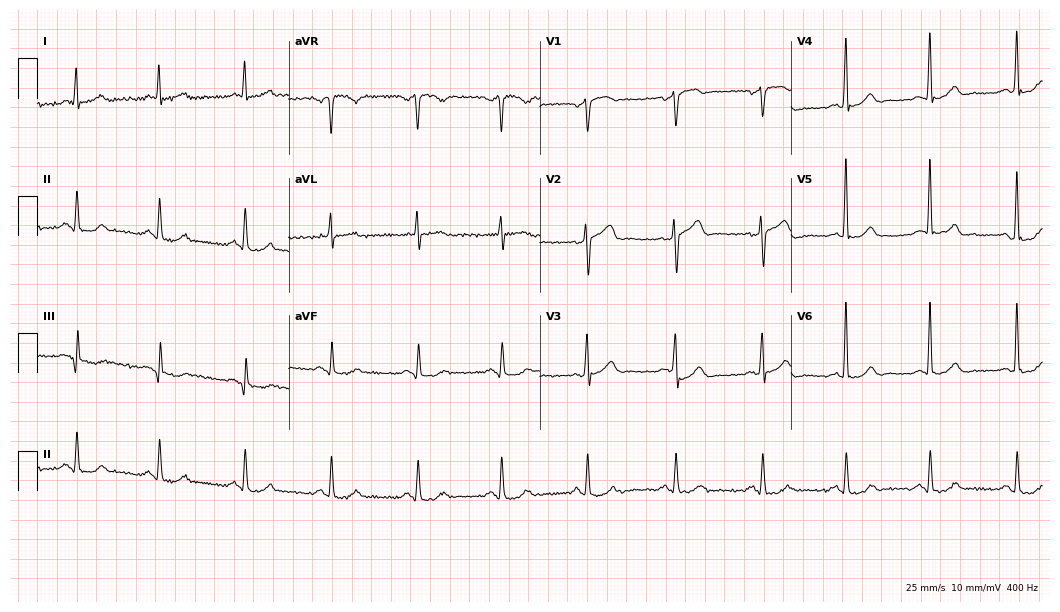
ECG — a man, 51 years old. Labelled as a normal ECG.